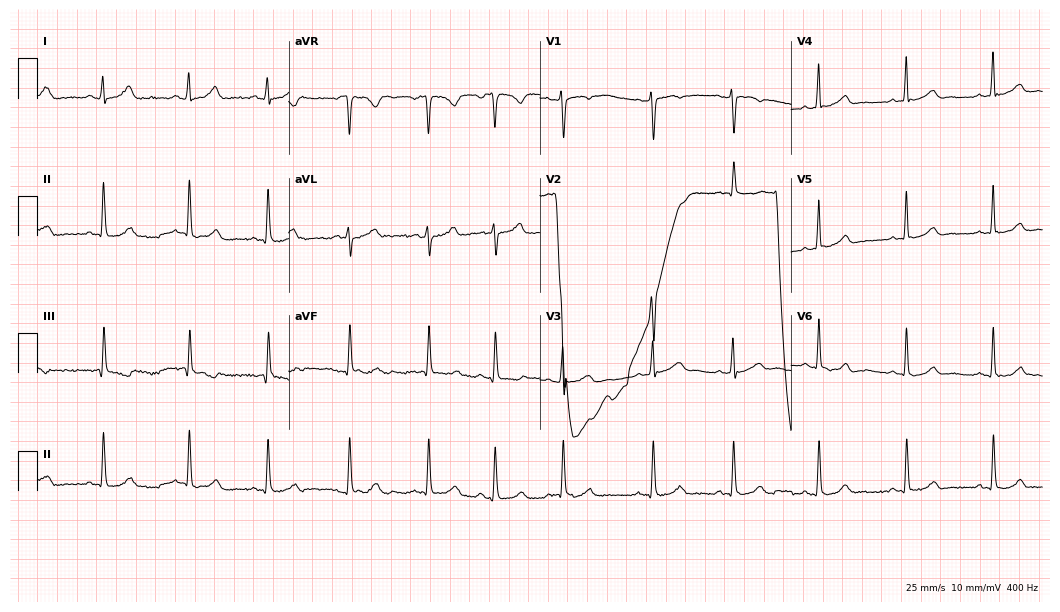
12-lead ECG from a woman, 18 years old (10.2-second recording at 400 Hz). Recorded interpretation: within normal limits.